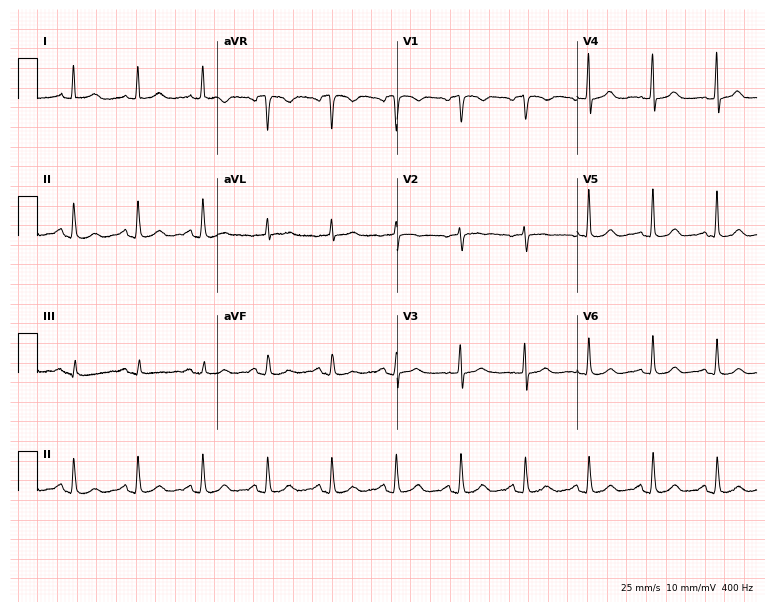
Electrocardiogram (7.3-second recording at 400 Hz), a 73-year-old woman. Of the six screened findings (first-degree AV block, right bundle branch block (RBBB), left bundle branch block (LBBB), sinus bradycardia, atrial fibrillation (AF), sinus tachycardia), none is recorded. Other findings, if any, are not listed.